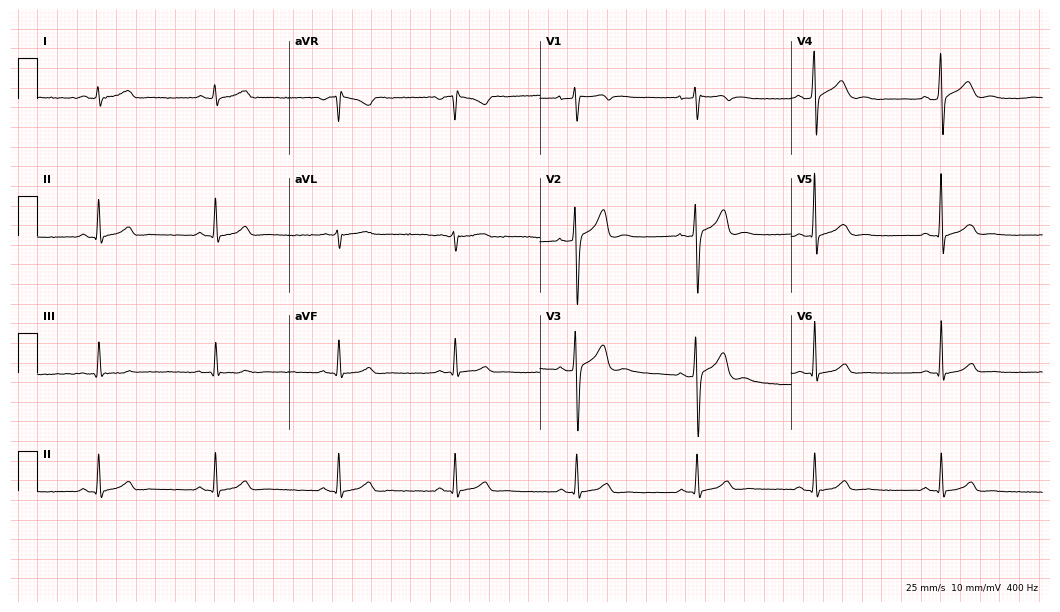
Standard 12-lead ECG recorded from a man, 38 years old (10.2-second recording at 400 Hz). Read as a normal ECG.